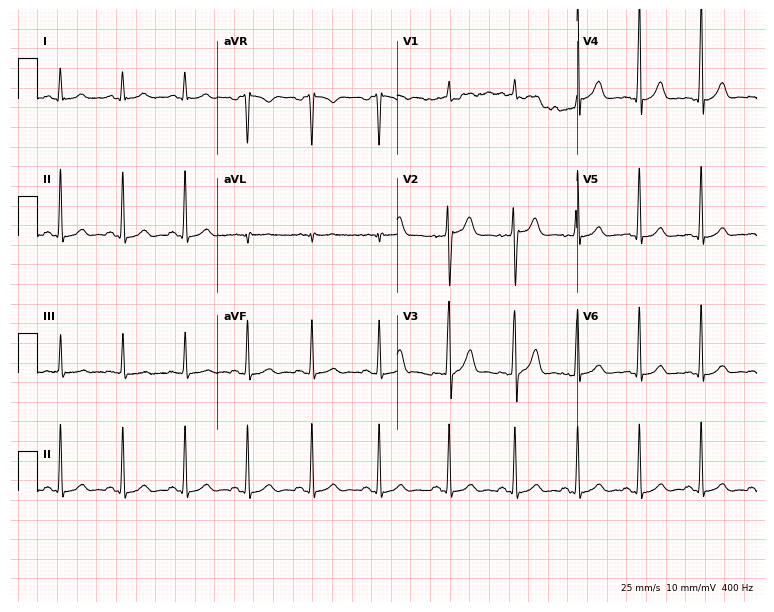
12-lead ECG from a 38-year-old male patient. Labelled as a normal ECG.